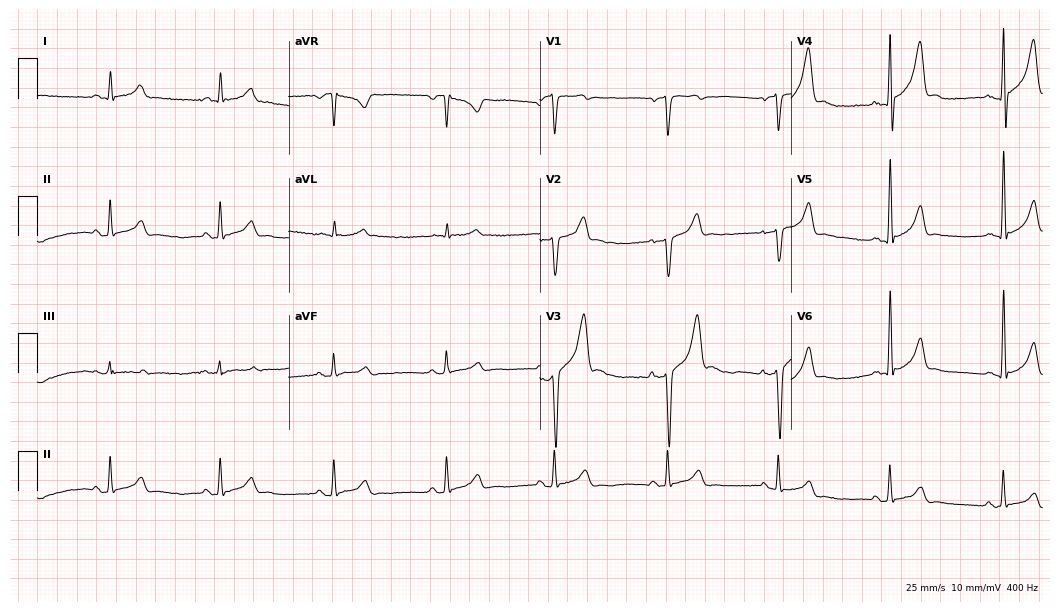
Resting 12-lead electrocardiogram (10.2-second recording at 400 Hz). Patient: a 47-year-old male. None of these six findings is recorded: first-degree AV block, right bundle branch block, left bundle branch block, sinus bradycardia, atrial fibrillation, sinus tachycardia. Other findings, if any, are not listed.